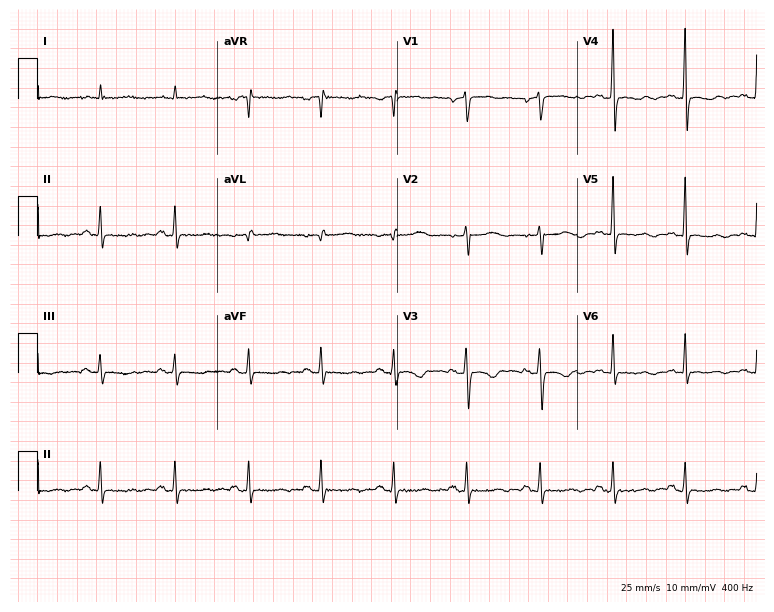
Resting 12-lead electrocardiogram. Patient: a woman, 63 years old. None of these six findings is recorded: first-degree AV block, right bundle branch block, left bundle branch block, sinus bradycardia, atrial fibrillation, sinus tachycardia. Other findings, if any, are not listed.